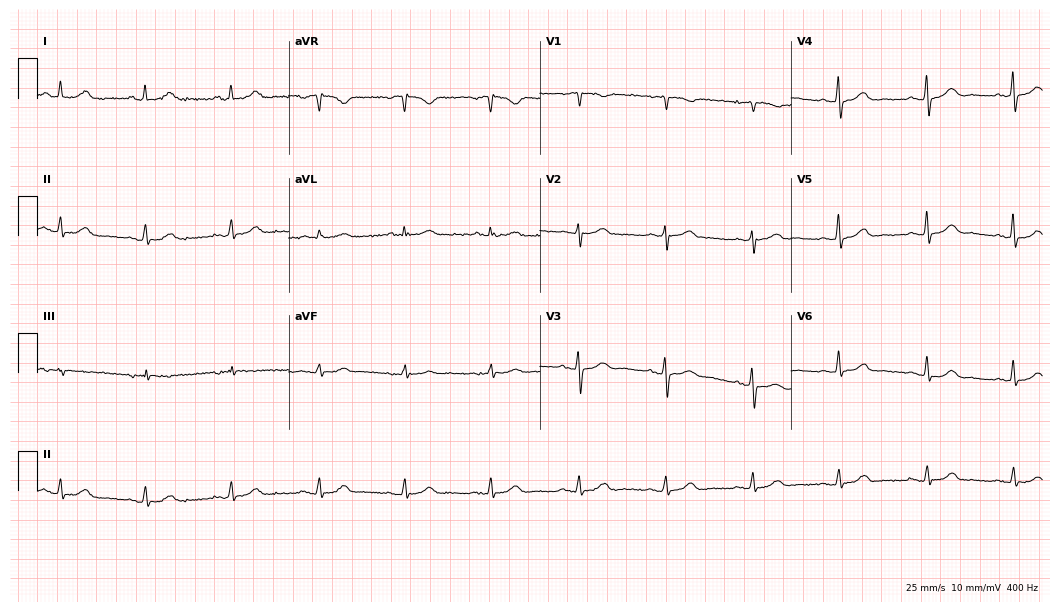
ECG (10.2-second recording at 400 Hz) — a woman, 68 years old. Labelled as a normal ECG.